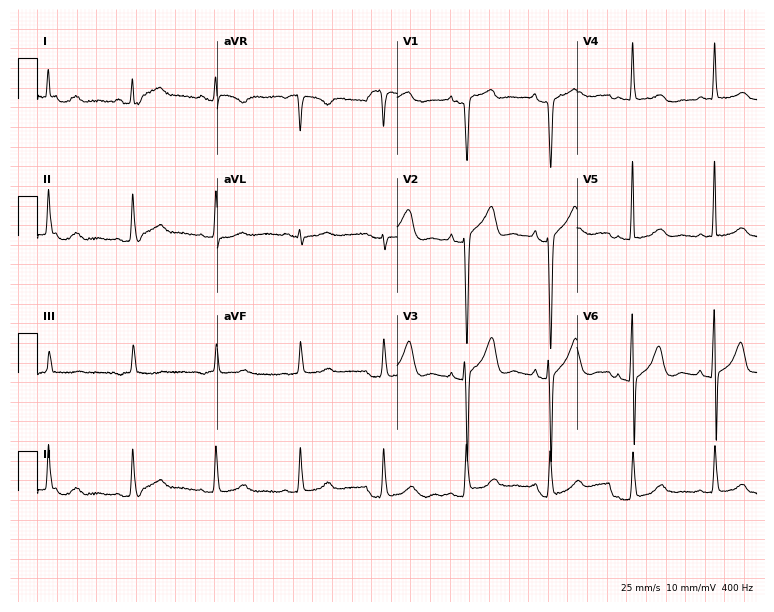
12-lead ECG (7.3-second recording at 400 Hz) from a male patient, 67 years old. Labelled as a normal ECG.